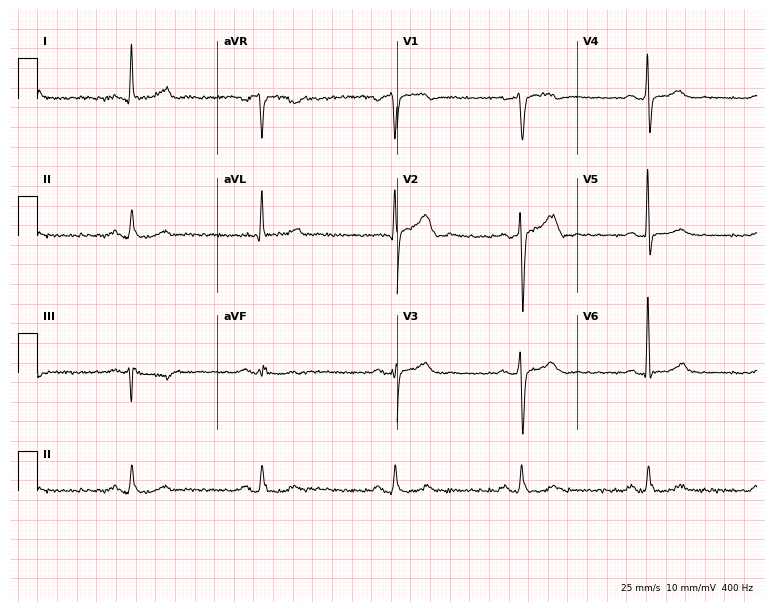
ECG (7.3-second recording at 400 Hz) — a man, 53 years old. Findings include sinus bradycardia (a sinus rate of 50 beats per minute or less).